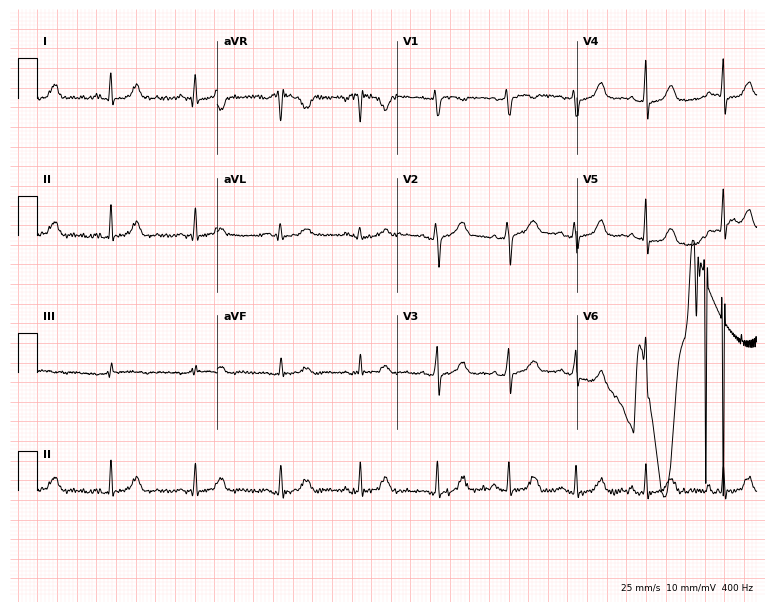
Standard 12-lead ECG recorded from a female, 35 years old. Read as a normal ECG.